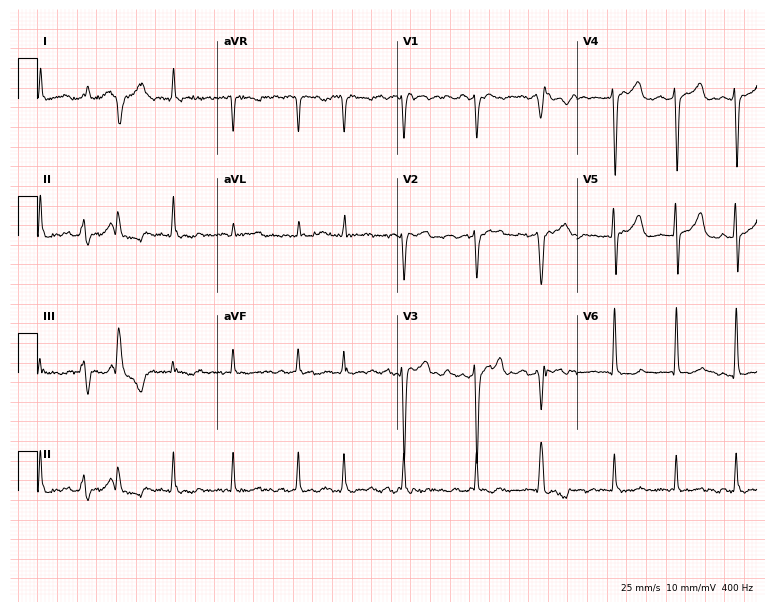
12-lead ECG from a 72-year-old male patient. Findings include atrial fibrillation (AF).